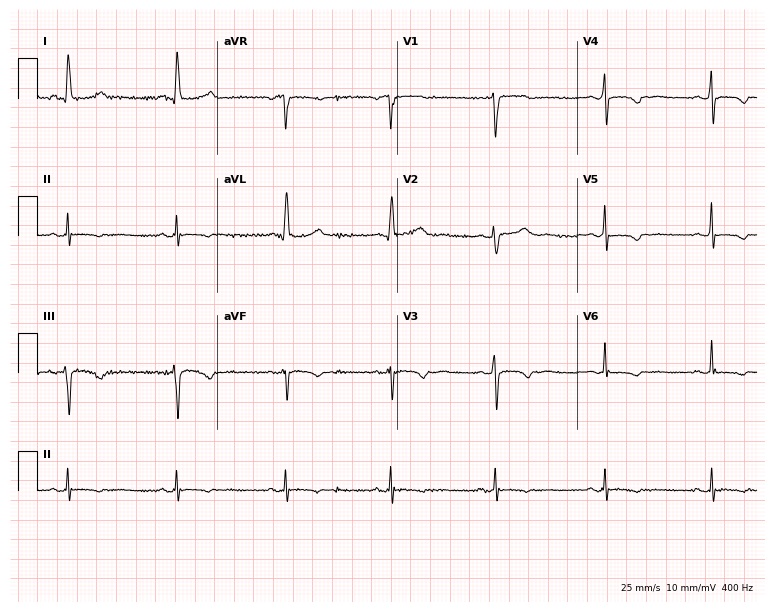
Standard 12-lead ECG recorded from a 54-year-old female patient (7.3-second recording at 400 Hz). None of these six findings is recorded: first-degree AV block, right bundle branch block, left bundle branch block, sinus bradycardia, atrial fibrillation, sinus tachycardia.